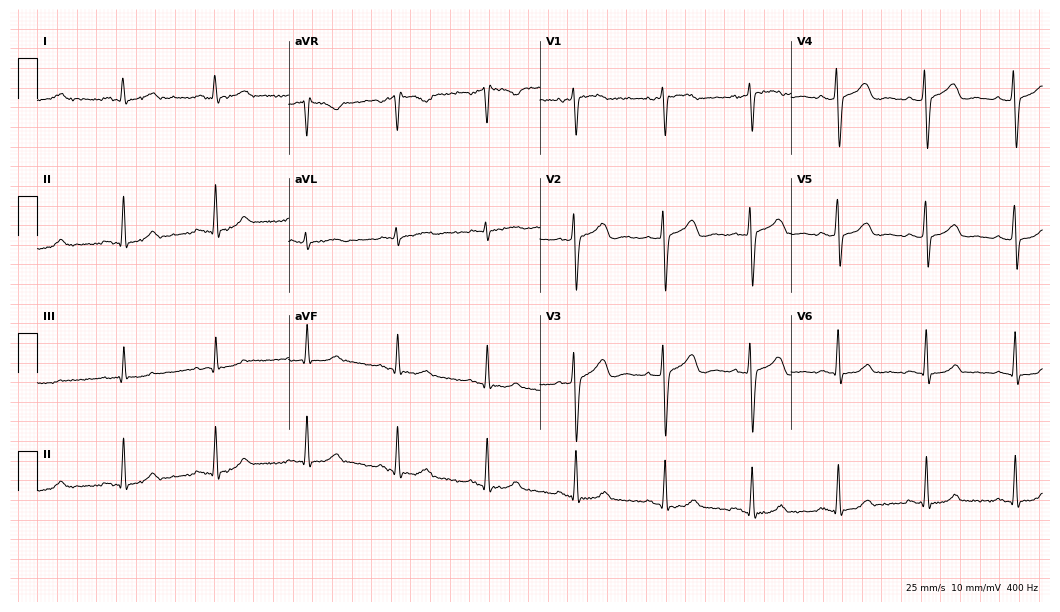
Electrocardiogram, a female patient, 47 years old. Of the six screened findings (first-degree AV block, right bundle branch block (RBBB), left bundle branch block (LBBB), sinus bradycardia, atrial fibrillation (AF), sinus tachycardia), none is recorded.